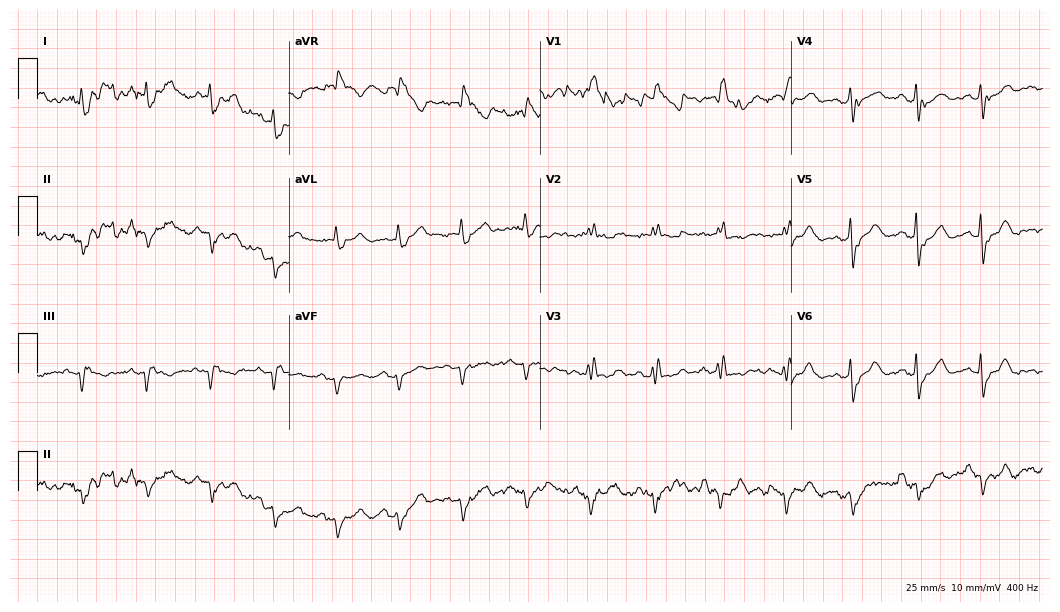
Standard 12-lead ECG recorded from a man, 76 years old (10.2-second recording at 400 Hz). None of these six findings is recorded: first-degree AV block, right bundle branch block (RBBB), left bundle branch block (LBBB), sinus bradycardia, atrial fibrillation (AF), sinus tachycardia.